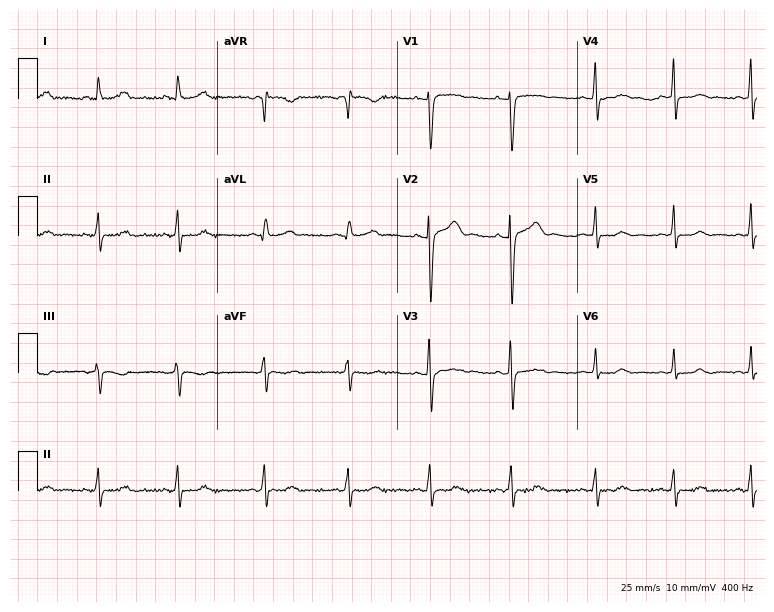
12-lead ECG from a woman, 23 years old. Screened for six findings — first-degree AV block, right bundle branch block (RBBB), left bundle branch block (LBBB), sinus bradycardia, atrial fibrillation (AF), sinus tachycardia — none is recorded.